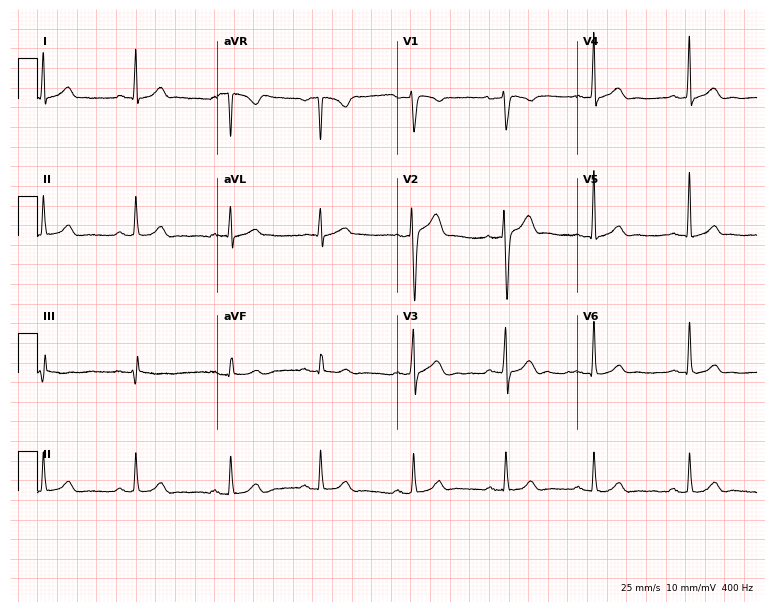
Electrocardiogram (7.3-second recording at 400 Hz), a 41-year-old male patient. Overall reading on record: normal ECG.